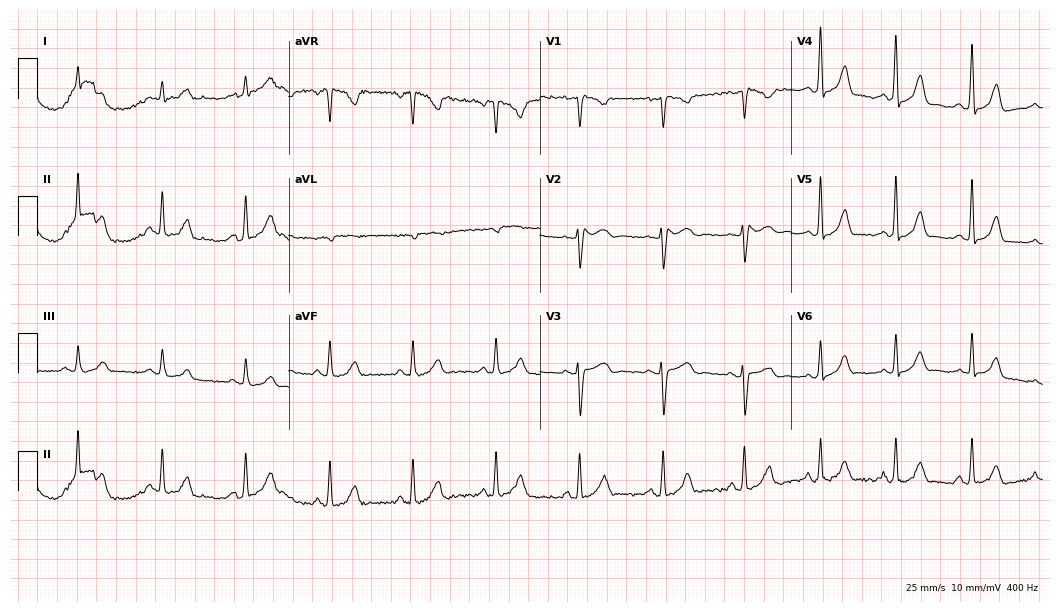
Resting 12-lead electrocardiogram (10.2-second recording at 400 Hz). Patient: a 45-year-old female. None of these six findings is recorded: first-degree AV block, right bundle branch block (RBBB), left bundle branch block (LBBB), sinus bradycardia, atrial fibrillation (AF), sinus tachycardia.